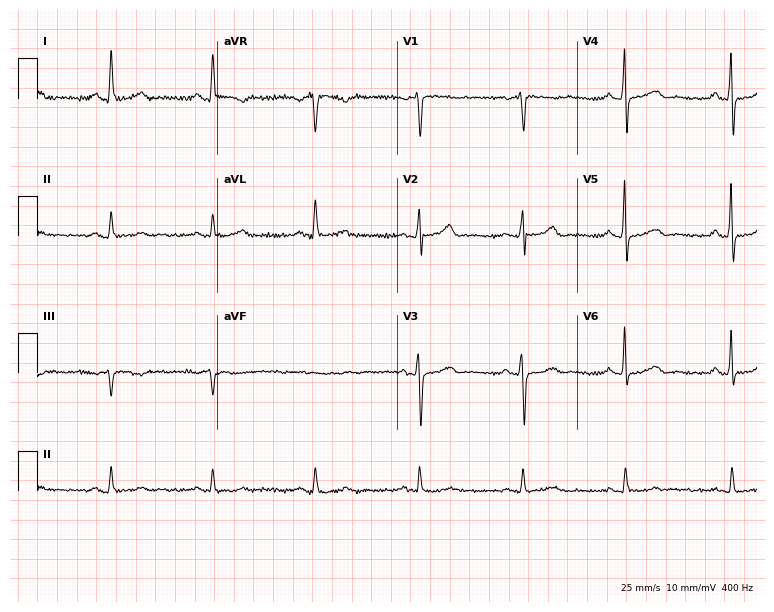
Standard 12-lead ECG recorded from a 67-year-old man. Read as a normal ECG.